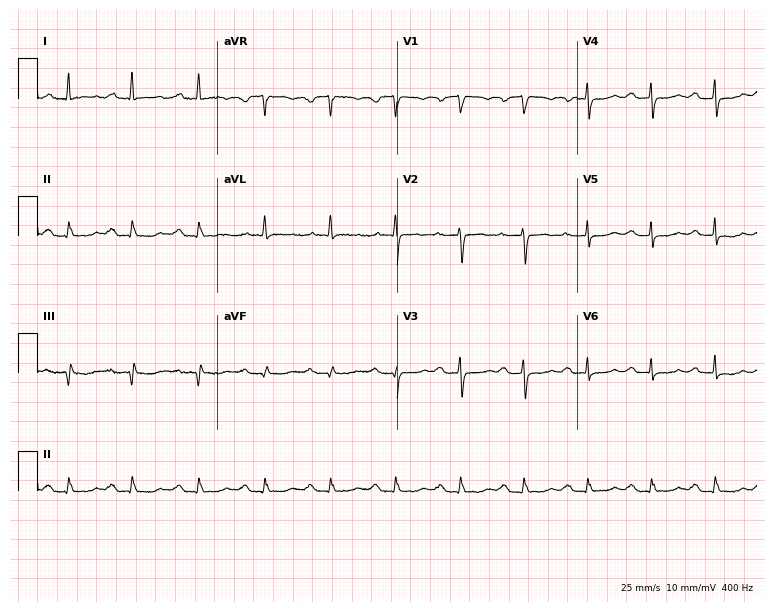
12-lead ECG from a 78-year-old female (7.3-second recording at 400 Hz). Shows first-degree AV block.